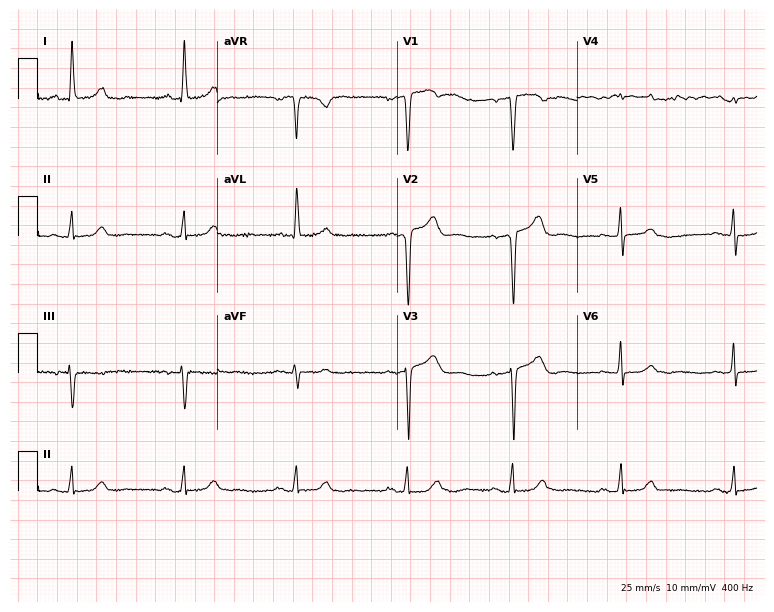
ECG — a woman, 50 years old. Screened for six findings — first-degree AV block, right bundle branch block, left bundle branch block, sinus bradycardia, atrial fibrillation, sinus tachycardia — none is recorded. Findings outside these six are not listed.